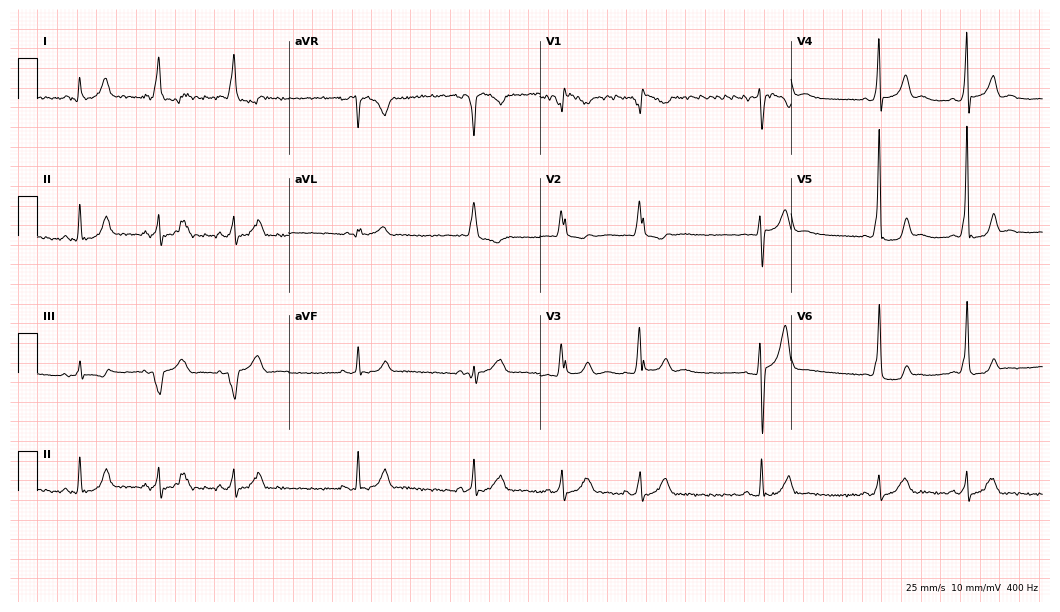
Resting 12-lead electrocardiogram (10.2-second recording at 400 Hz). Patient: a male, 22 years old. None of these six findings is recorded: first-degree AV block, right bundle branch block, left bundle branch block, sinus bradycardia, atrial fibrillation, sinus tachycardia. Other findings, if any, are not listed.